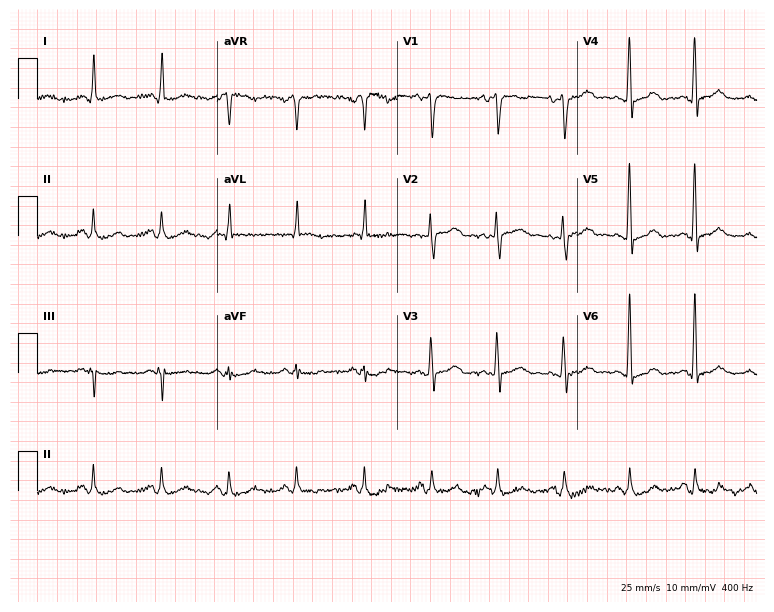
Standard 12-lead ECG recorded from a female, 48 years old. None of these six findings is recorded: first-degree AV block, right bundle branch block (RBBB), left bundle branch block (LBBB), sinus bradycardia, atrial fibrillation (AF), sinus tachycardia. Only these six findings were labelled.